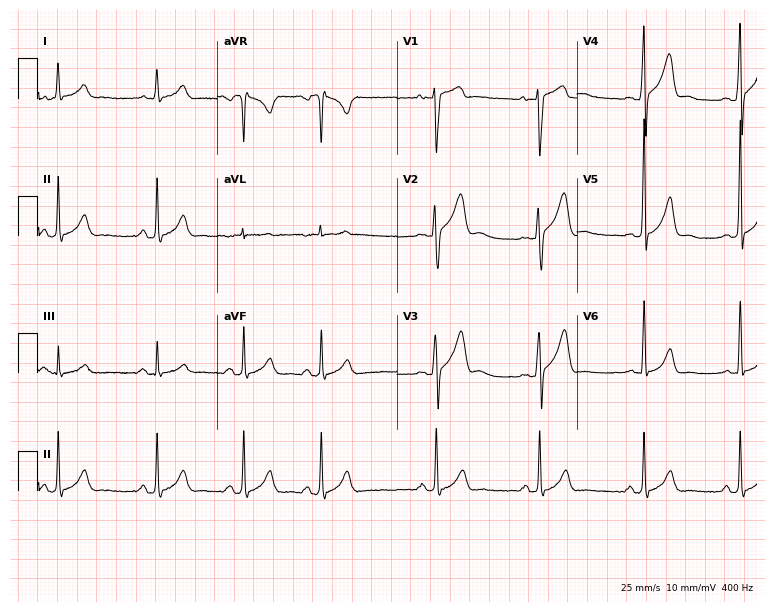
Standard 12-lead ECG recorded from a 23-year-old male patient (7.3-second recording at 400 Hz). Read as a normal ECG.